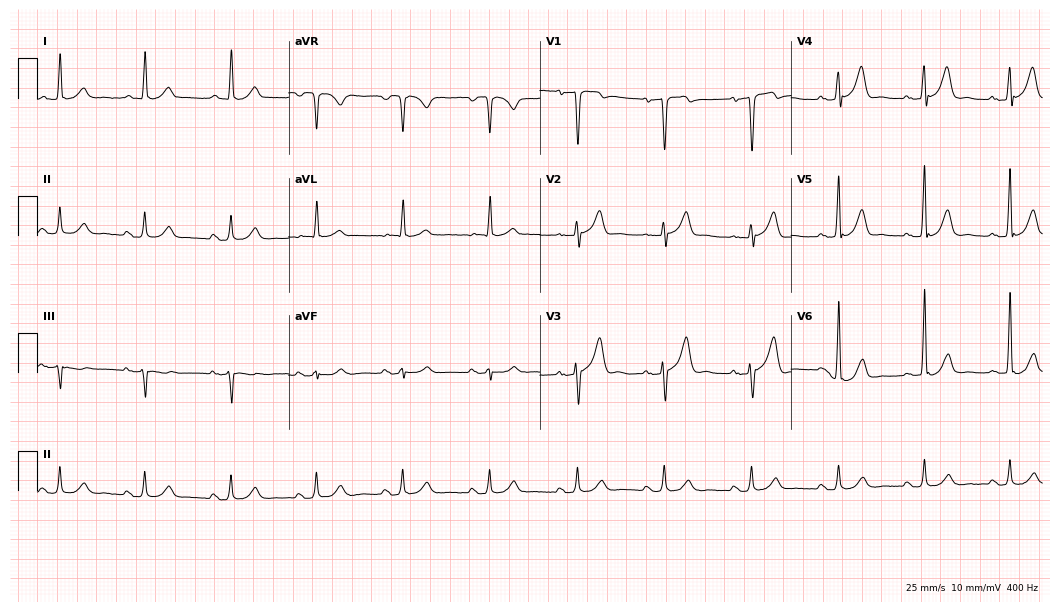
Electrocardiogram (10.2-second recording at 400 Hz), a 74-year-old man. Of the six screened findings (first-degree AV block, right bundle branch block, left bundle branch block, sinus bradycardia, atrial fibrillation, sinus tachycardia), none is recorded.